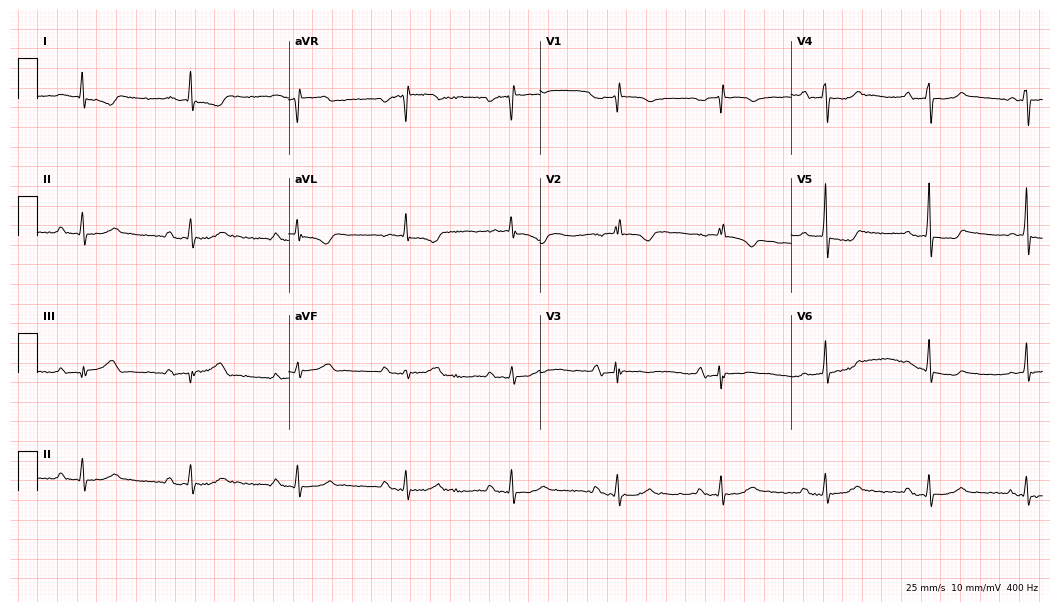
12-lead ECG (10.2-second recording at 400 Hz) from a 77-year-old man. Screened for six findings — first-degree AV block, right bundle branch block, left bundle branch block, sinus bradycardia, atrial fibrillation, sinus tachycardia — none is recorded.